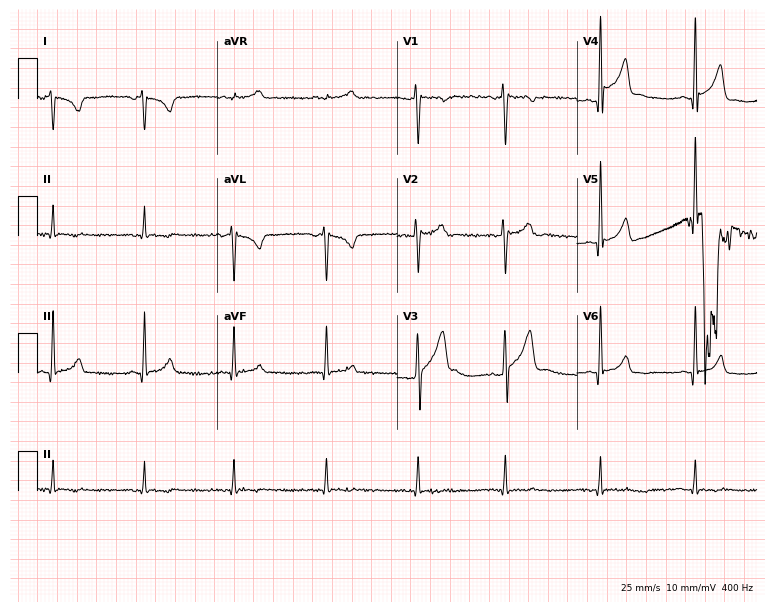
Resting 12-lead electrocardiogram (7.3-second recording at 400 Hz). Patient: a man, 23 years old. None of these six findings is recorded: first-degree AV block, right bundle branch block, left bundle branch block, sinus bradycardia, atrial fibrillation, sinus tachycardia.